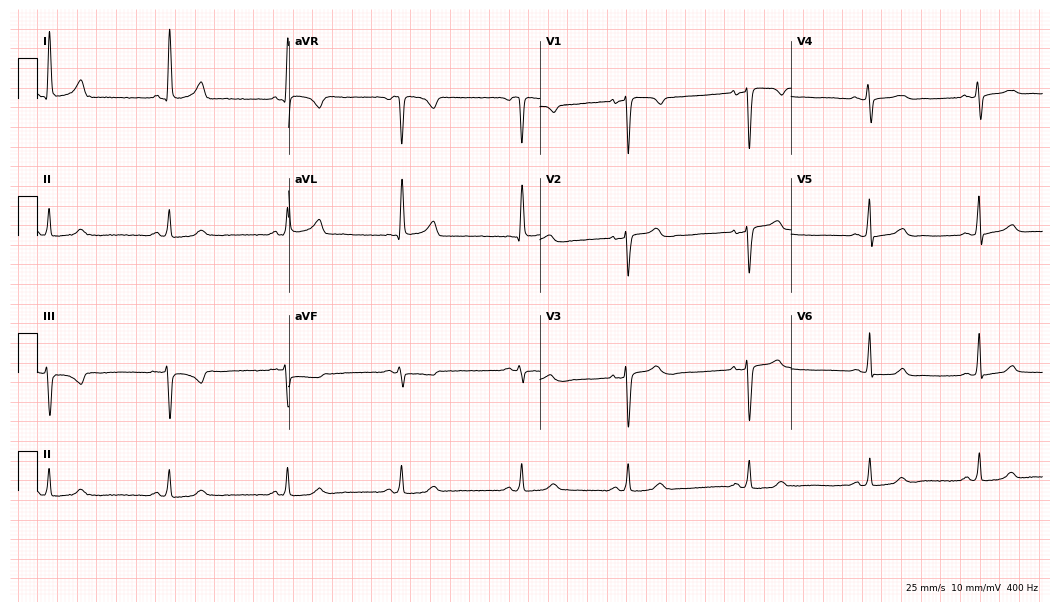
12-lead ECG from a female patient, 49 years old. Screened for six findings — first-degree AV block, right bundle branch block, left bundle branch block, sinus bradycardia, atrial fibrillation, sinus tachycardia — none is recorded.